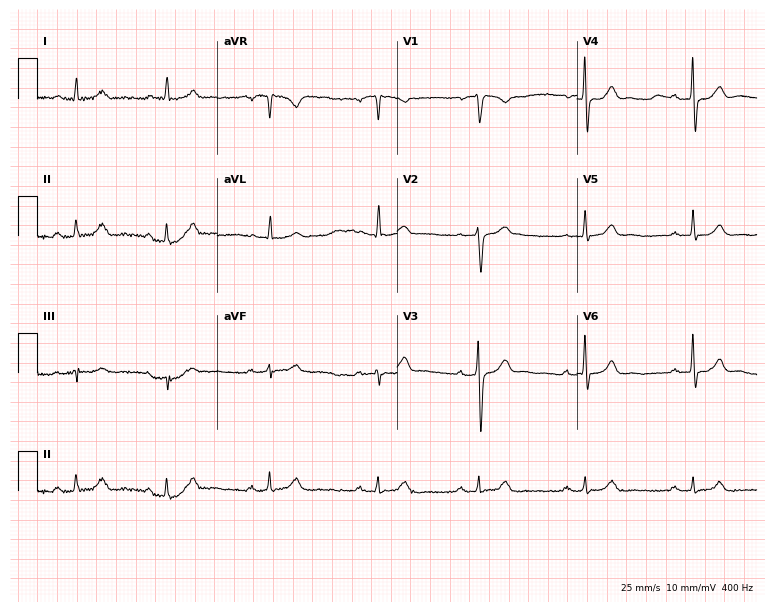
ECG — a male patient, 54 years old. Screened for six findings — first-degree AV block, right bundle branch block (RBBB), left bundle branch block (LBBB), sinus bradycardia, atrial fibrillation (AF), sinus tachycardia — none is recorded. Findings outside these six are not listed.